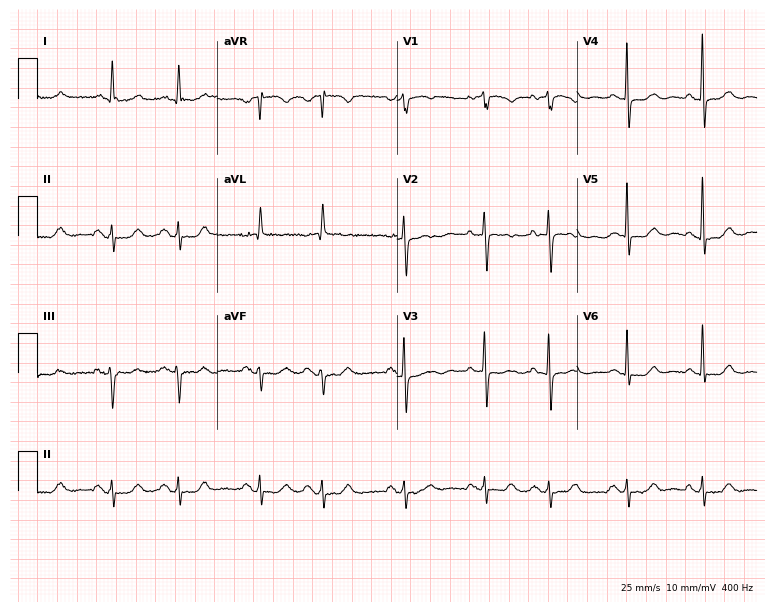
12-lead ECG from a female patient, 77 years old (7.3-second recording at 400 Hz). No first-degree AV block, right bundle branch block, left bundle branch block, sinus bradycardia, atrial fibrillation or sinus tachycardia recorded for this tracing. Other findings, if any, are not listed.